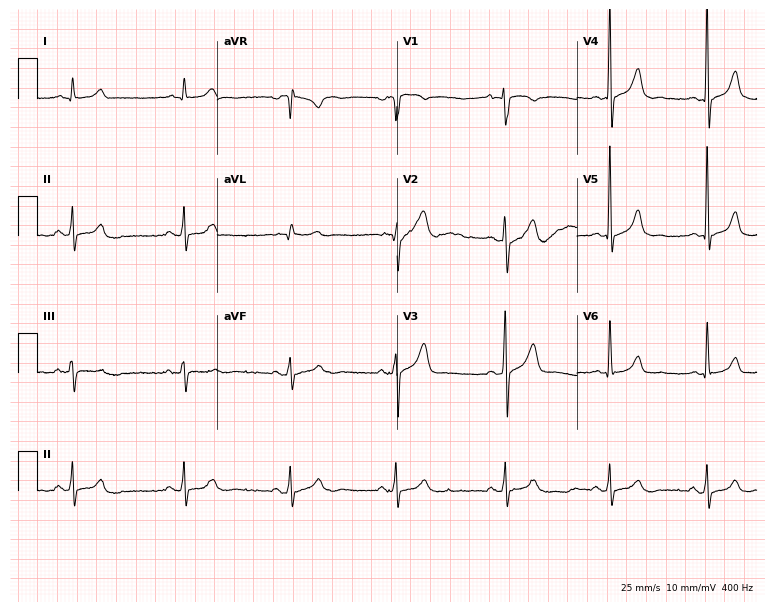
Standard 12-lead ECG recorded from a man, 30 years old. Read as a normal ECG.